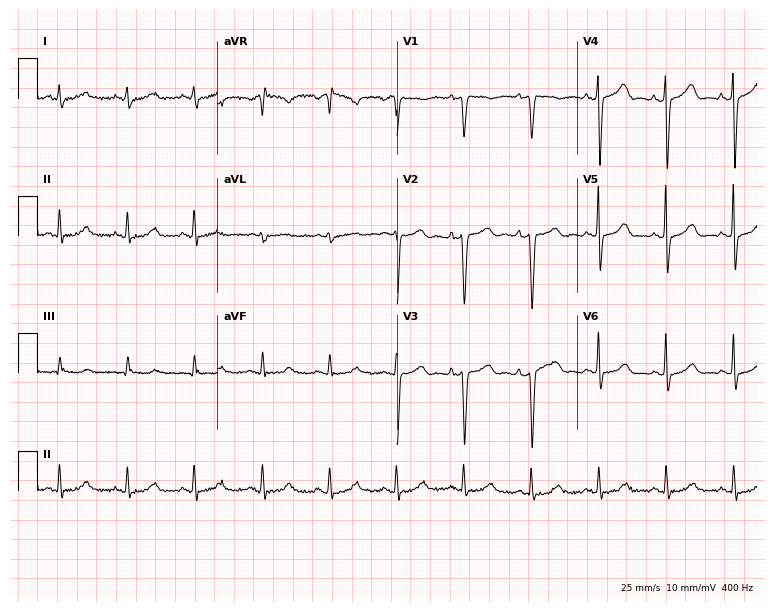
ECG — a 70-year-old female patient. Labelled as a normal ECG.